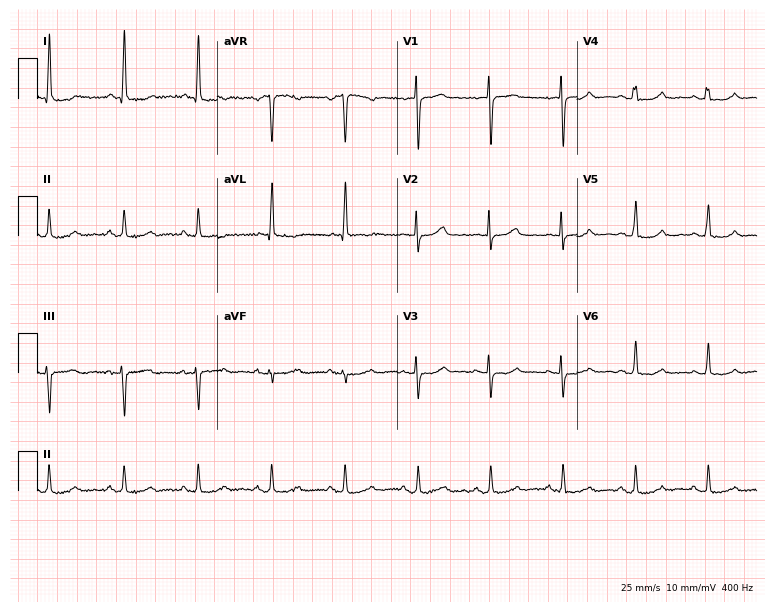
Resting 12-lead electrocardiogram (7.3-second recording at 400 Hz). Patient: a female, 68 years old. None of these six findings is recorded: first-degree AV block, right bundle branch block (RBBB), left bundle branch block (LBBB), sinus bradycardia, atrial fibrillation (AF), sinus tachycardia.